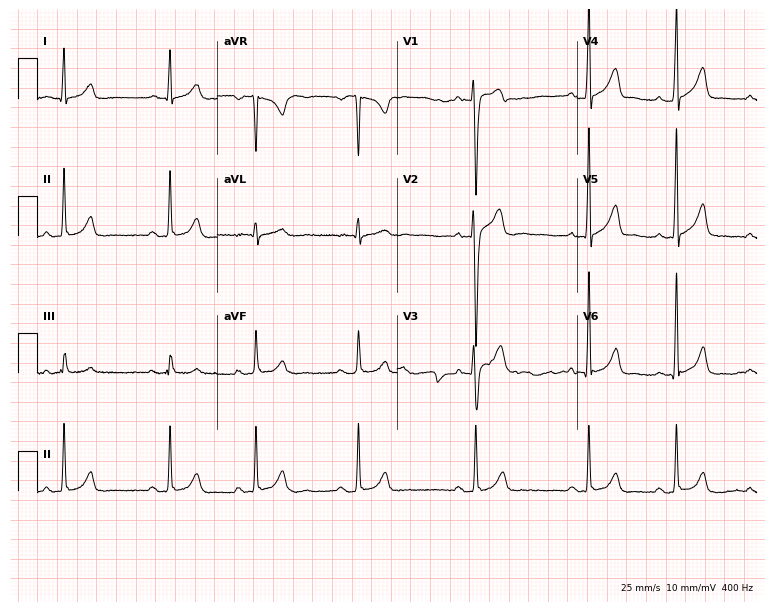
12-lead ECG (7.3-second recording at 400 Hz) from a 26-year-old man. Labelled as a normal ECG.